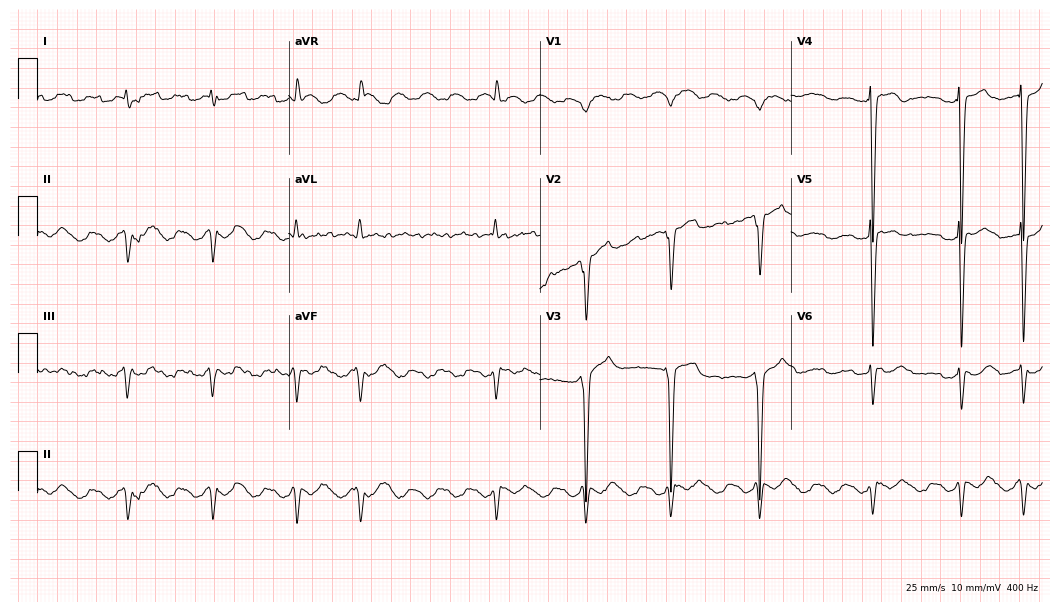
12-lead ECG from a male patient, 52 years old (10.2-second recording at 400 Hz). No first-degree AV block, right bundle branch block, left bundle branch block, sinus bradycardia, atrial fibrillation or sinus tachycardia recorded for this tracing. Only these six findings were labelled.